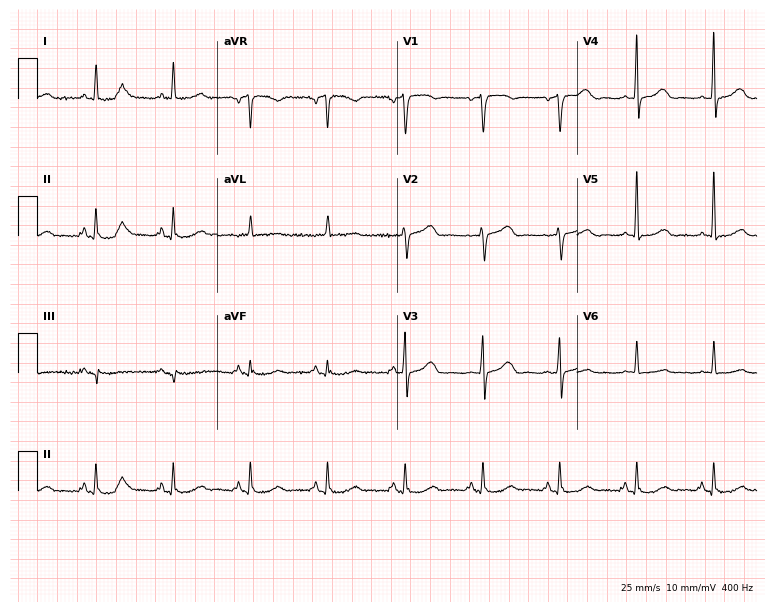
Resting 12-lead electrocardiogram. Patient: a 59-year-old woman. None of these six findings is recorded: first-degree AV block, right bundle branch block, left bundle branch block, sinus bradycardia, atrial fibrillation, sinus tachycardia. Findings outside these six are not listed.